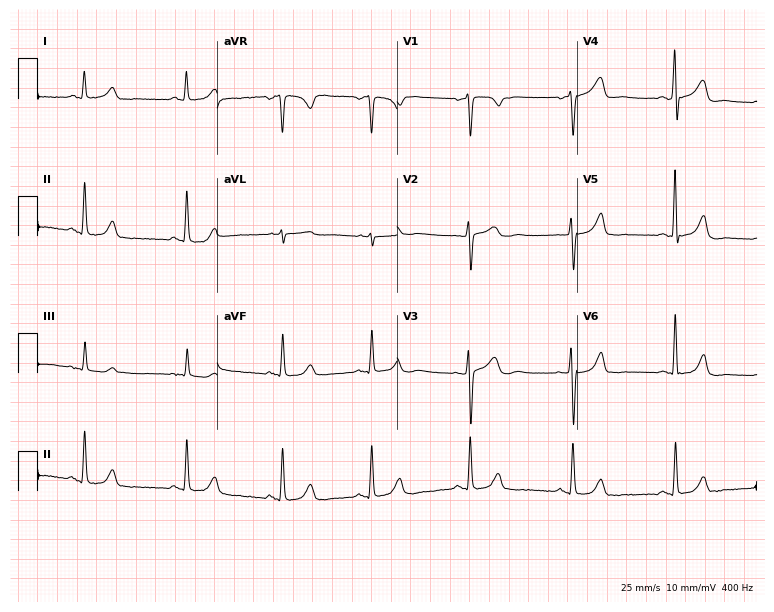
12-lead ECG from a 52-year-old female (7.3-second recording at 400 Hz). No first-degree AV block, right bundle branch block (RBBB), left bundle branch block (LBBB), sinus bradycardia, atrial fibrillation (AF) or sinus tachycardia recorded for this tracing. Only these six findings were labelled.